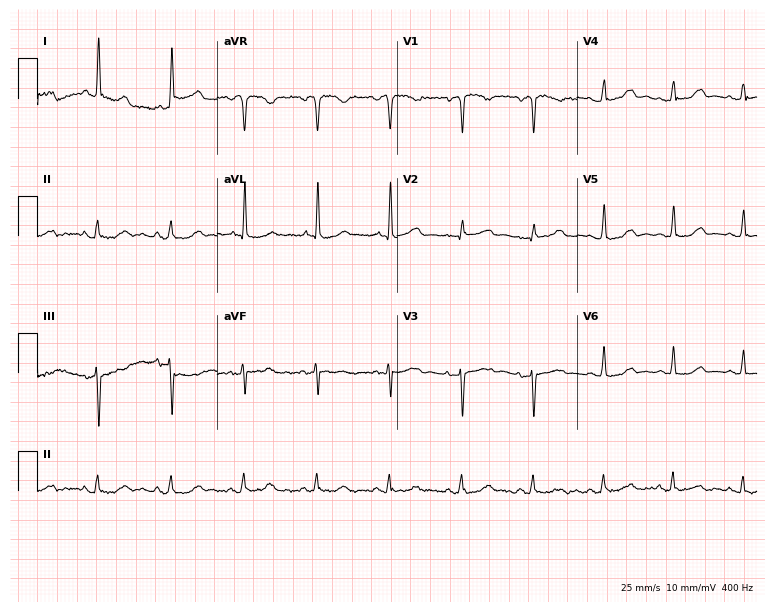
12-lead ECG (7.3-second recording at 400 Hz) from an 85-year-old female. Labelled as a normal ECG.